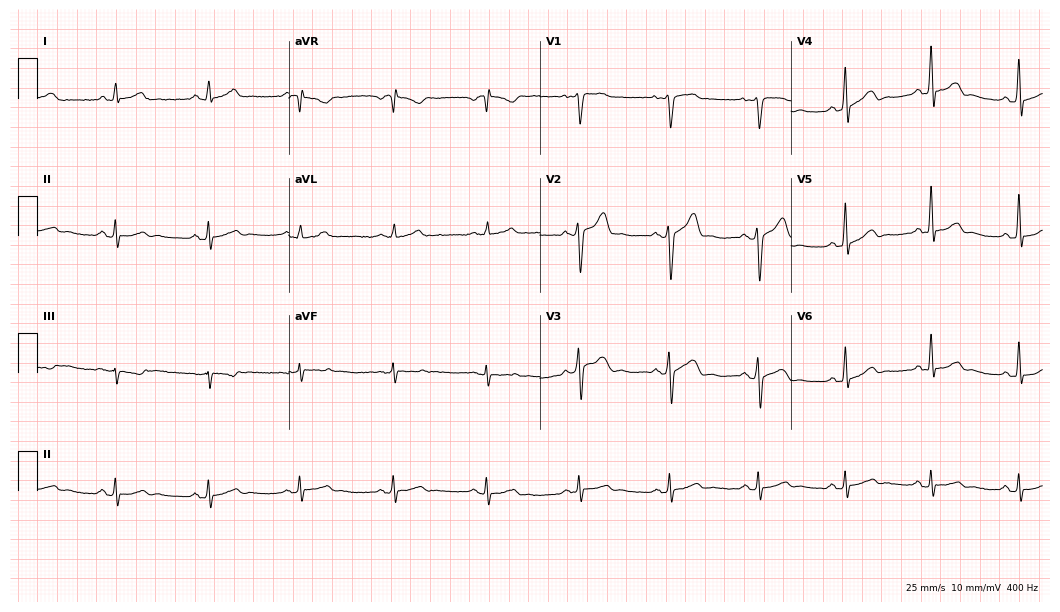
Standard 12-lead ECG recorded from a 30-year-old man (10.2-second recording at 400 Hz). Read as a normal ECG.